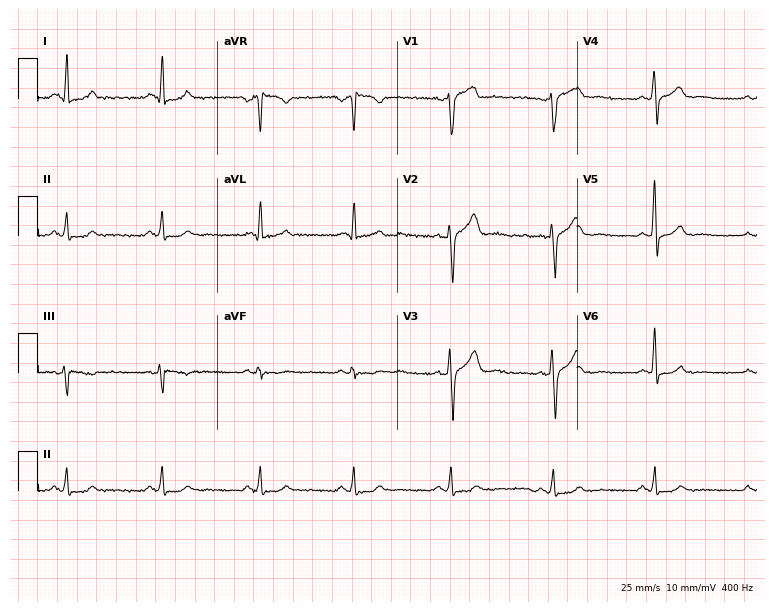
Resting 12-lead electrocardiogram. Patient: a 43-year-old man. None of these six findings is recorded: first-degree AV block, right bundle branch block, left bundle branch block, sinus bradycardia, atrial fibrillation, sinus tachycardia. Other findings, if any, are not listed.